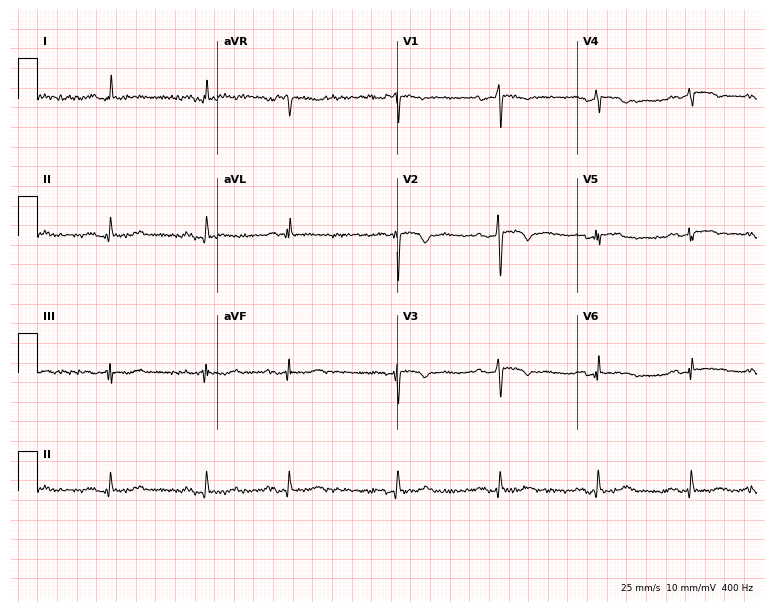
Resting 12-lead electrocardiogram (7.3-second recording at 400 Hz). Patient: a female, 77 years old. None of these six findings is recorded: first-degree AV block, right bundle branch block, left bundle branch block, sinus bradycardia, atrial fibrillation, sinus tachycardia. Findings outside these six are not listed.